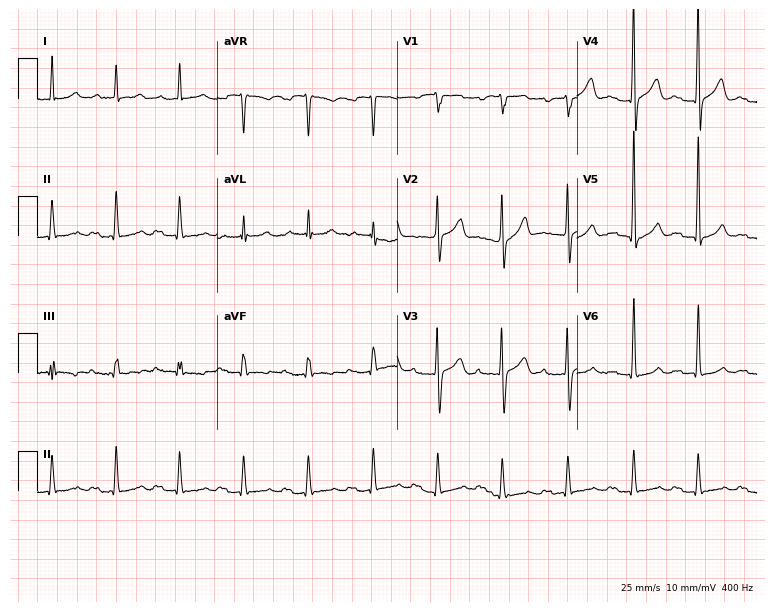
ECG (7.3-second recording at 400 Hz) — an 82-year-old male patient. Findings include first-degree AV block.